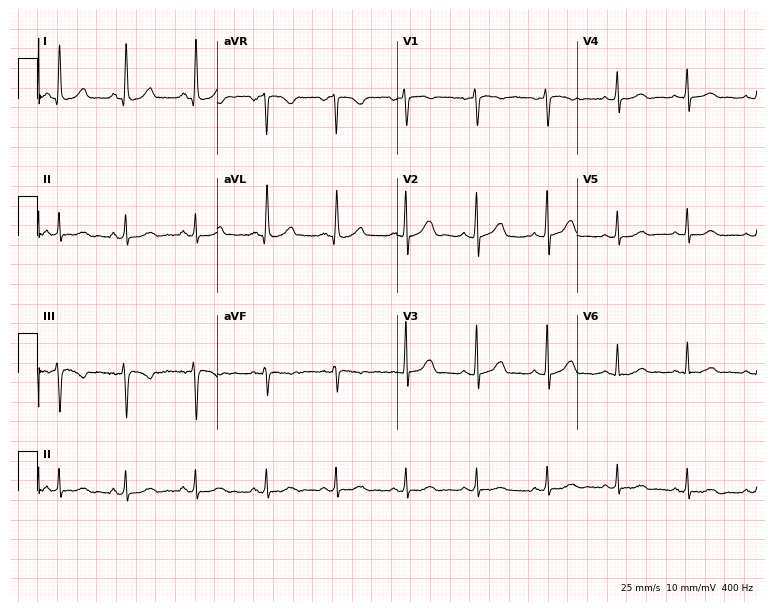
Standard 12-lead ECG recorded from a female patient, 44 years old (7.3-second recording at 400 Hz). Read as a normal ECG.